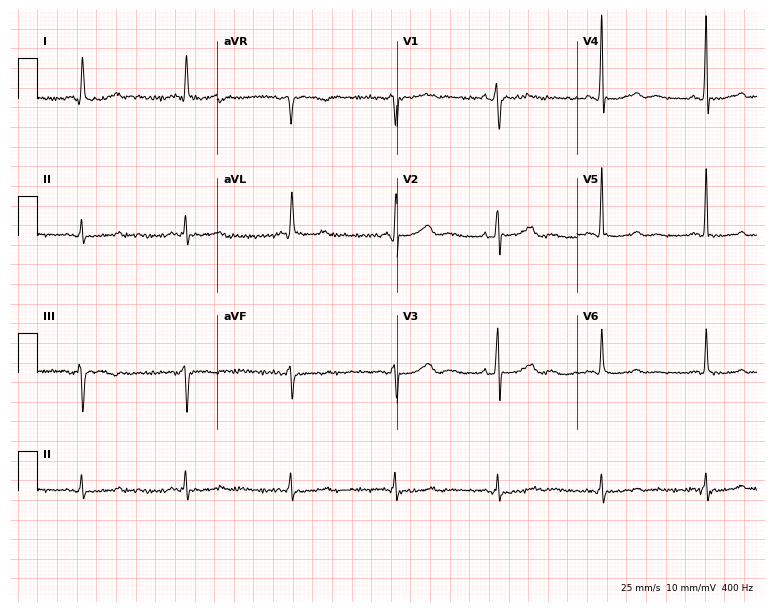
Standard 12-lead ECG recorded from a female, 60 years old. None of these six findings is recorded: first-degree AV block, right bundle branch block, left bundle branch block, sinus bradycardia, atrial fibrillation, sinus tachycardia. Other findings, if any, are not listed.